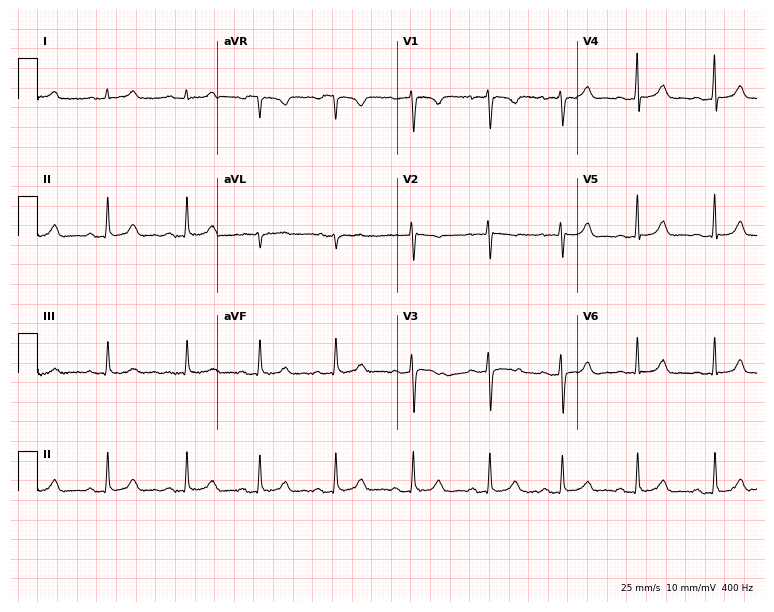
12-lead ECG from a 30-year-old female (7.3-second recording at 400 Hz). Recorded interpretation: within normal limits.